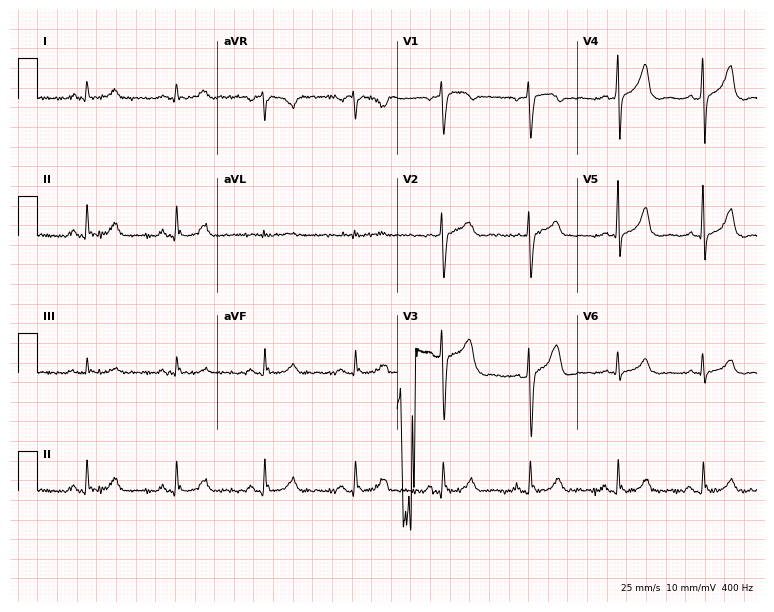
12-lead ECG from a male, 54 years old (7.3-second recording at 400 Hz). No first-degree AV block, right bundle branch block, left bundle branch block, sinus bradycardia, atrial fibrillation or sinus tachycardia recorded for this tracing.